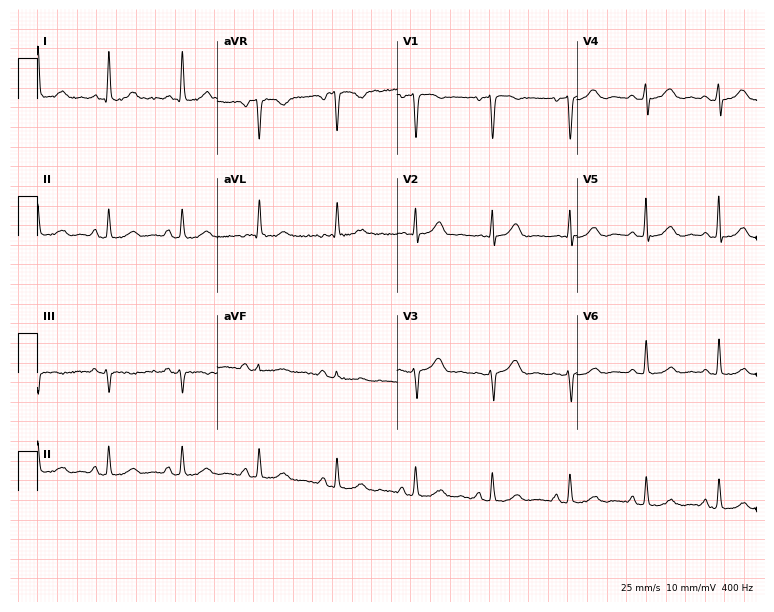
12-lead ECG (7.3-second recording at 400 Hz) from a 53-year-old female. Screened for six findings — first-degree AV block, right bundle branch block, left bundle branch block, sinus bradycardia, atrial fibrillation, sinus tachycardia — none is recorded.